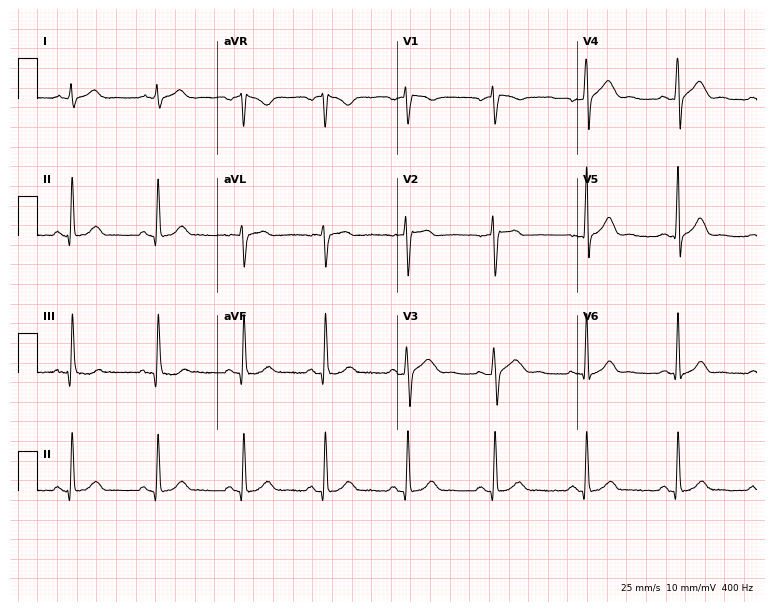
Electrocardiogram (7.3-second recording at 400 Hz), a male, 36 years old. Overall reading on record: normal ECG.